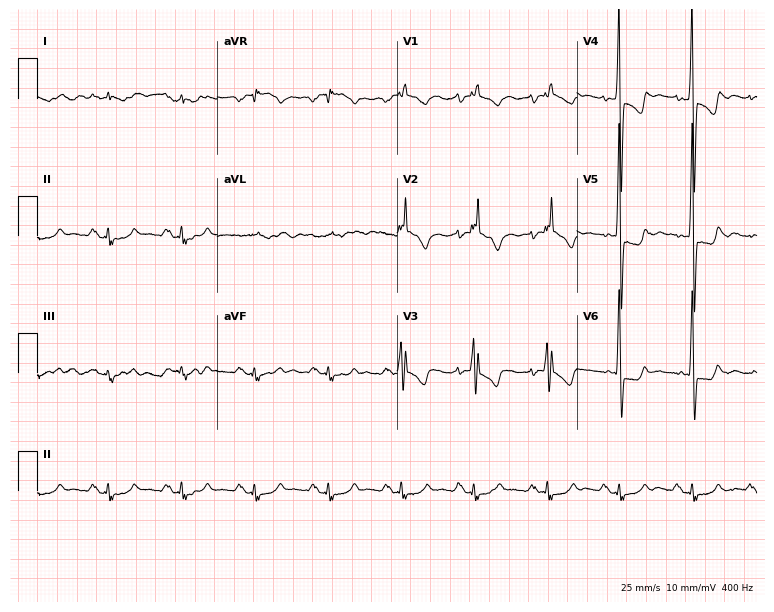
12-lead ECG from a male patient, 54 years old. Screened for six findings — first-degree AV block, right bundle branch block, left bundle branch block, sinus bradycardia, atrial fibrillation, sinus tachycardia — none is recorded.